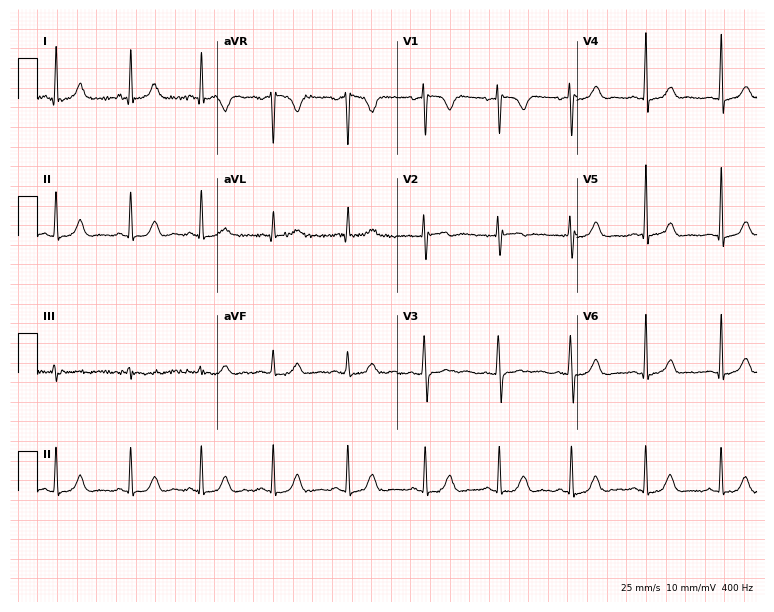
Resting 12-lead electrocardiogram. Patient: a female, 28 years old. Read as a normal ECG.